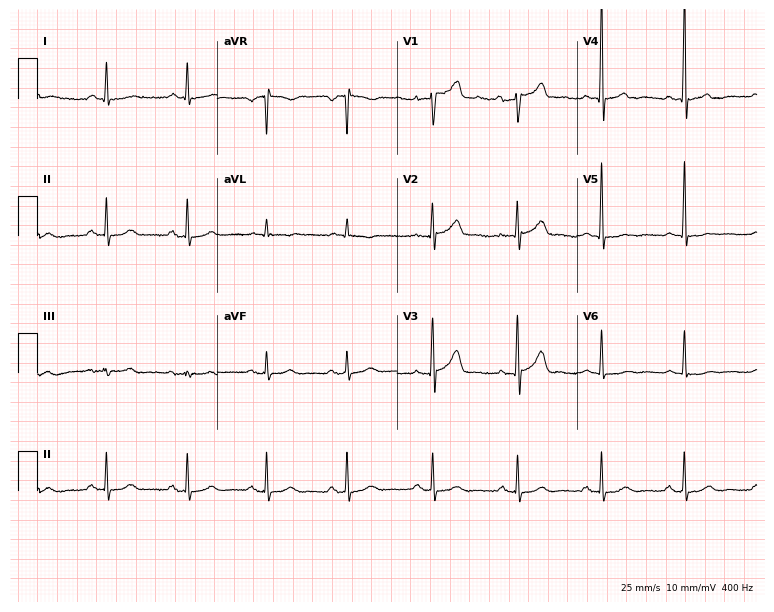
Resting 12-lead electrocardiogram (7.3-second recording at 400 Hz). Patient: a male, 65 years old. None of these six findings is recorded: first-degree AV block, right bundle branch block, left bundle branch block, sinus bradycardia, atrial fibrillation, sinus tachycardia.